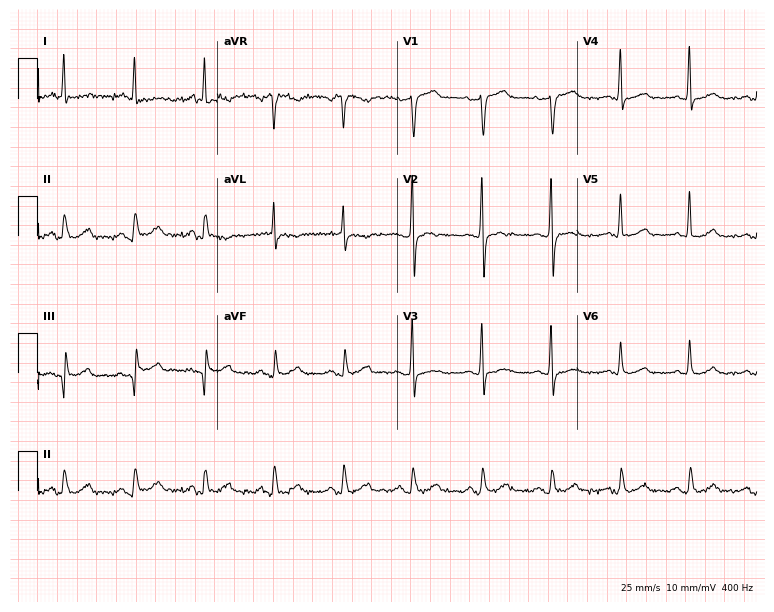
Resting 12-lead electrocardiogram. Patient: a 74-year-old male. None of these six findings is recorded: first-degree AV block, right bundle branch block, left bundle branch block, sinus bradycardia, atrial fibrillation, sinus tachycardia. Only these six findings were labelled.